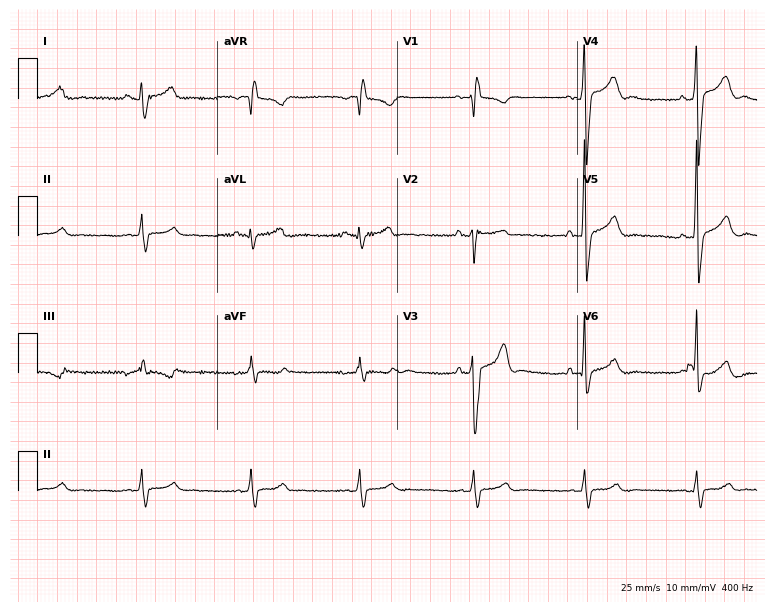
Standard 12-lead ECG recorded from a 31-year-old man. The tracing shows right bundle branch block (RBBB).